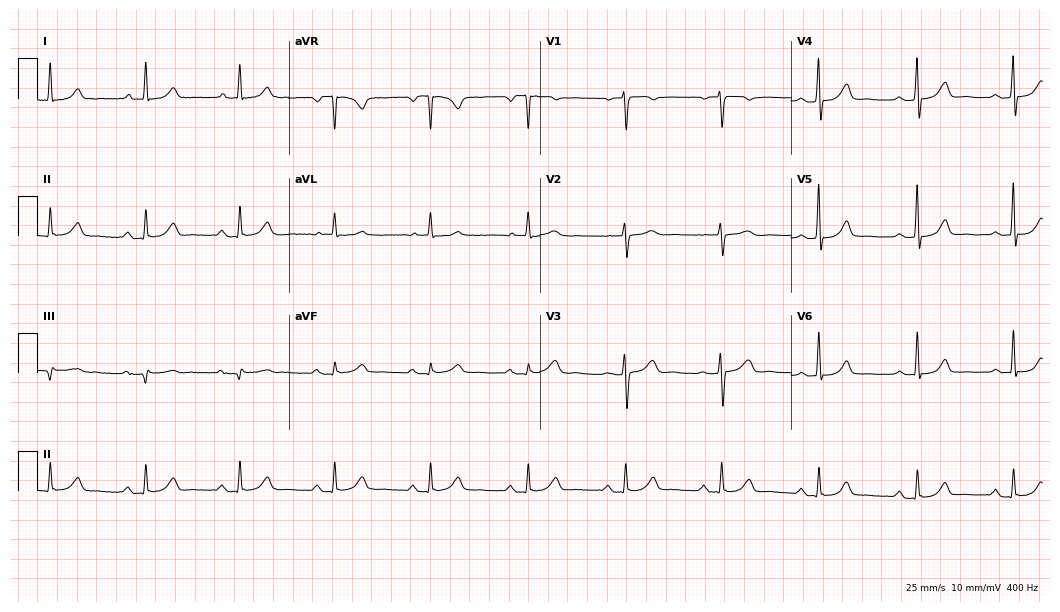
Electrocardiogram (10.2-second recording at 400 Hz), a woman, 68 years old. Overall reading on record: normal ECG.